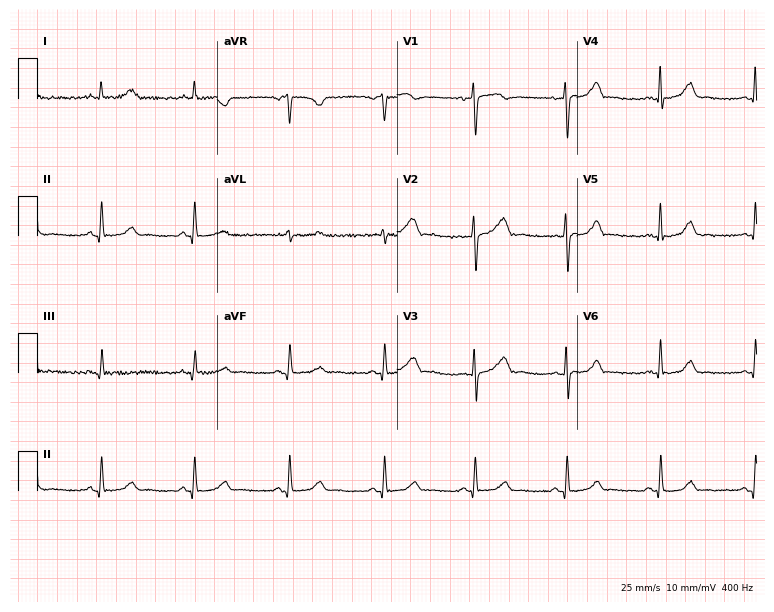
Electrocardiogram, a 40-year-old woman. Of the six screened findings (first-degree AV block, right bundle branch block, left bundle branch block, sinus bradycardia, atrial fibrillation, sinus tachycardia), none is recorded. Only these six findings were labelled.